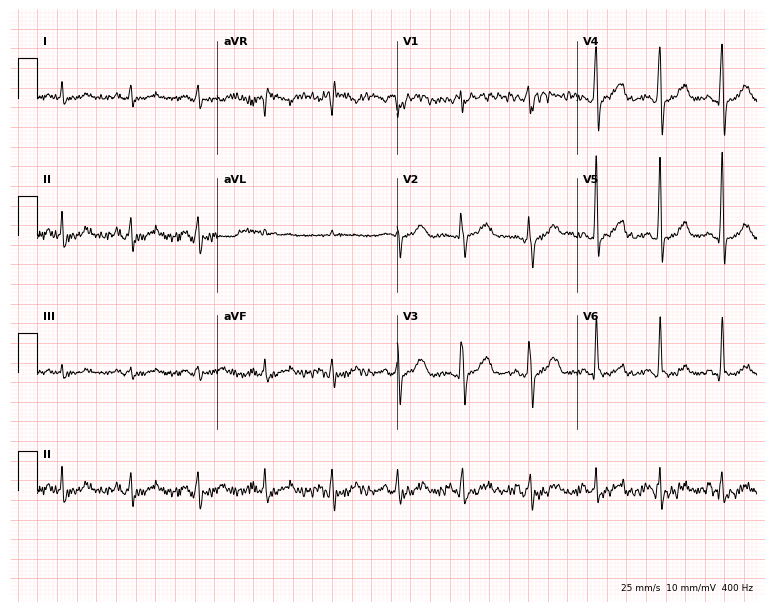
12-lead ECG (7.3-second recording at 400 Hz) from a 70-year-old female patient. Screened for six findings — first-degree AV block, right bundle branch block (RBBB), left bundle branch block (LBBB), sinus bradycardia, atrial fibrillation (AF), sinus tachycardia — none is recorded. Only these six findings were labelled.